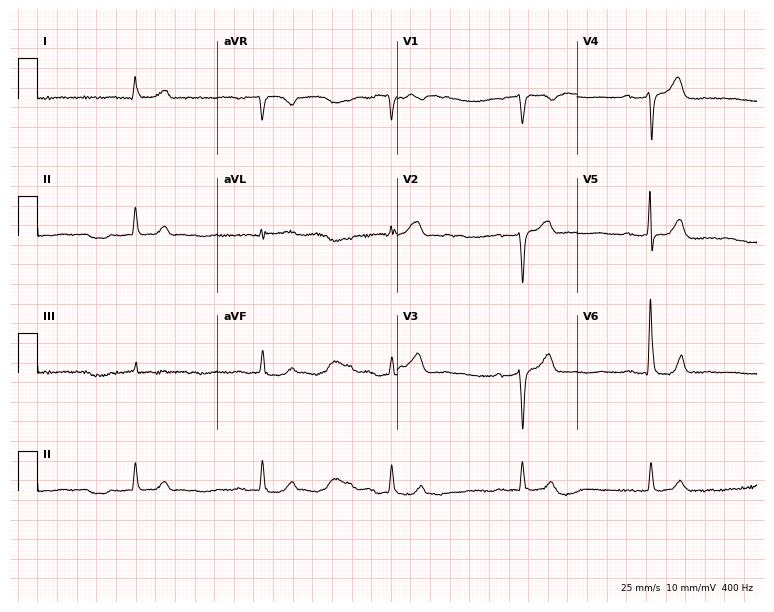
12-lead ECG (7.3-second recording at 400 Hz) from a 73-year-old man. Findings include sinus bradycardia (a sinus rate of 50 beats per minute or less).